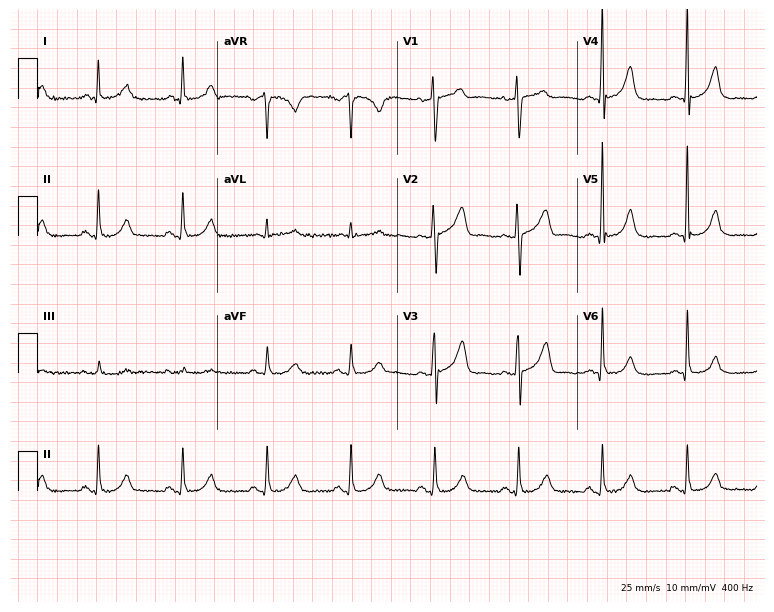
12-lead ECG (7.3-second recording at 400 Hz) from a 63-year-old male. Screened for six findings — first-degree AV block, right bundle branch block (RBBB), left bundle branch block (LBBB), sinus bradycardia, atrial fibrillation (AF), sinus tachycardia — none is recorded. Other findings, if any, are not listed.